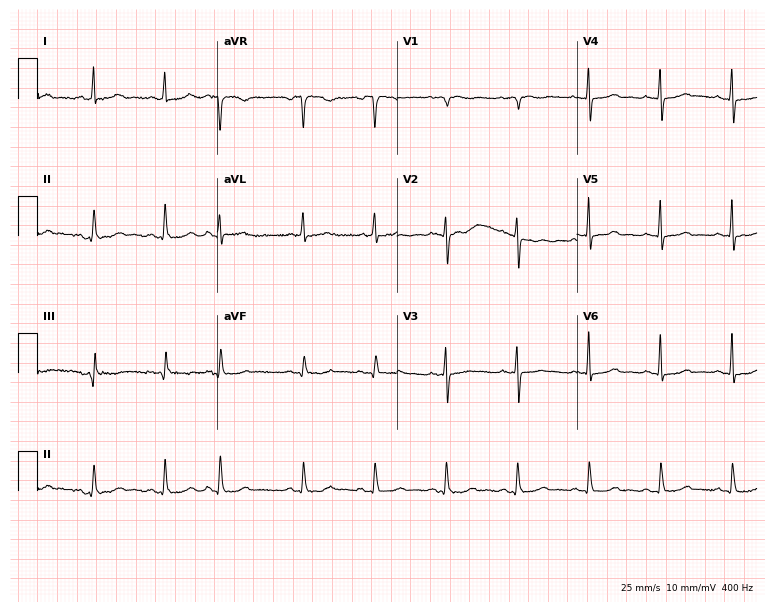
Standard 12-lead ECG recorded from a female patient, 73 years old. Read as a normal ECG.